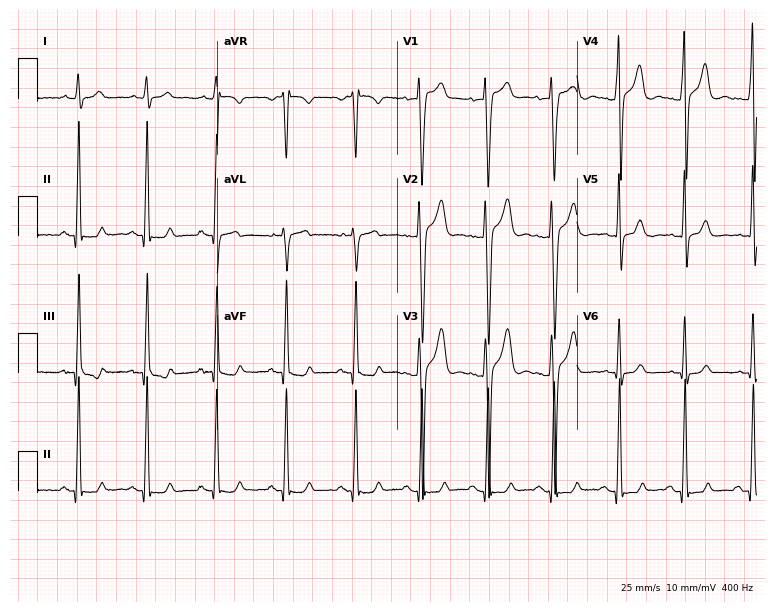
ECG (7.3-second recording at 400 Hz) — a 28-year-old male patient. Labelled as a normal ECG.